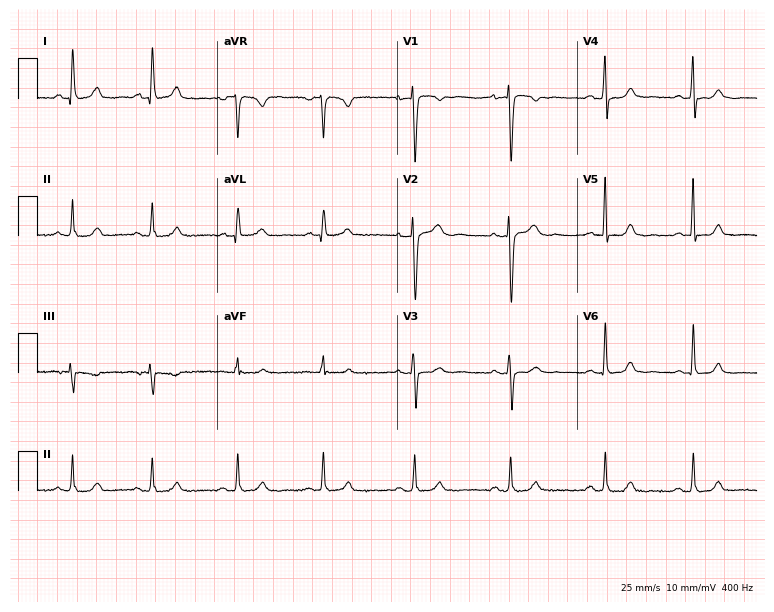
Resting 12-lead electrocardiogram (7.3-second recording at 400 Hz). Patient: a female, 45 years old. Read as a normal ECG.